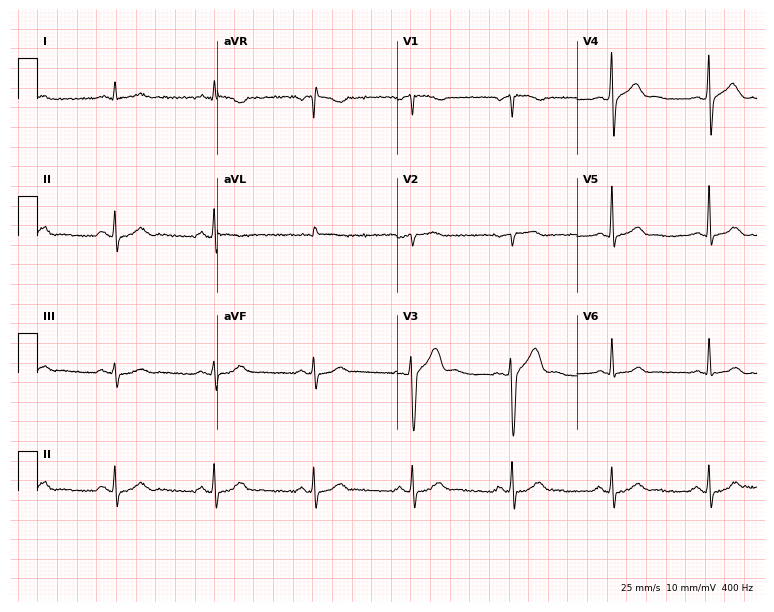
12-lead ECG (7.3-second recording at 400 Hz) from a 60-year-old man. Labelled as a normal ECG.